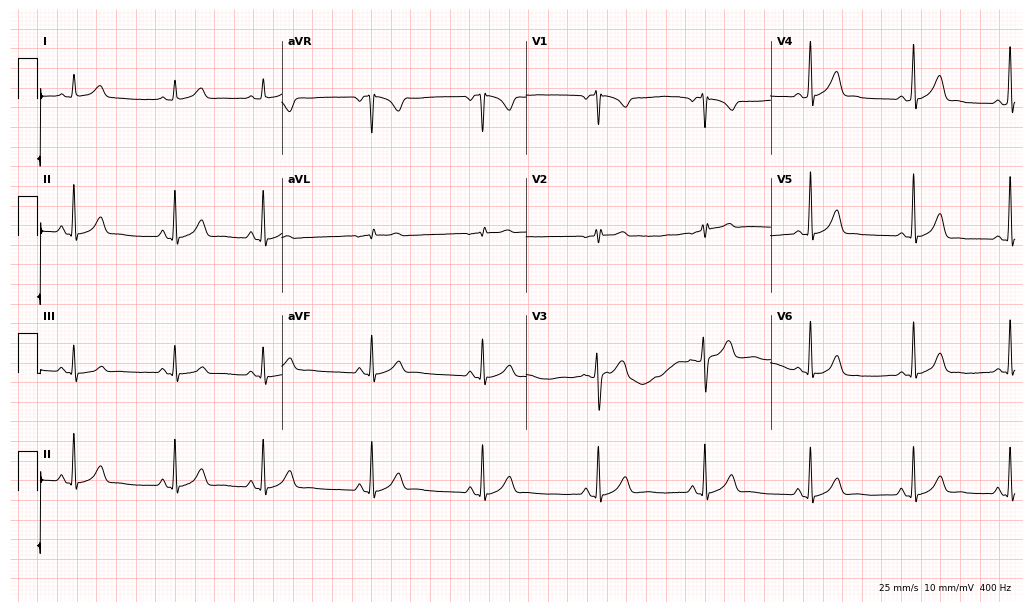
12-lead ECG (10-second recording at 400 Hz) from a female patient, 18 years old. Screened for six findings — first-degree AV block, right bundle branch block, left bundle branch block, sinus bradycardia, atrial fibrillation, sinus tachycardia — none is recorded.